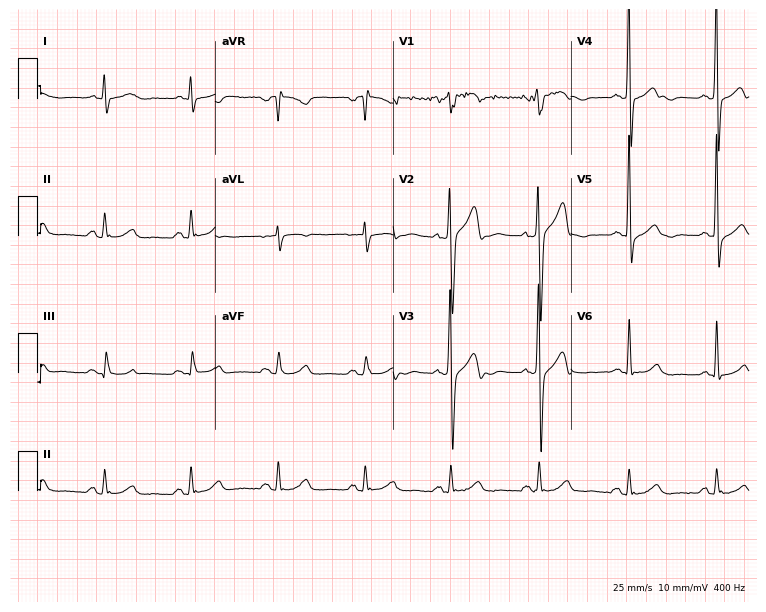
12-lead ECG from a 60-year-old man. Screened for six findings — first-degree AV block, right bundle branch block, left bundle branch block, sinus bradycardia, atrial fibrillation, sinus tachycardia — none is recorded.